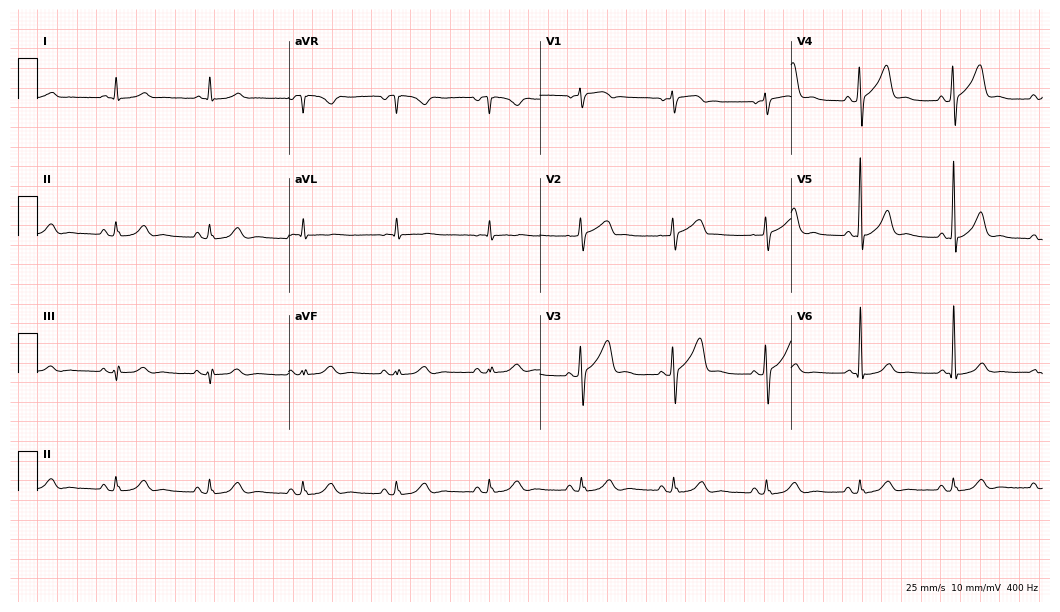
Resting 12-lead electrocardiogram (10.2-second recording at 400 Hz). Patient: a 67-year-old man. Read as a normal ECG.